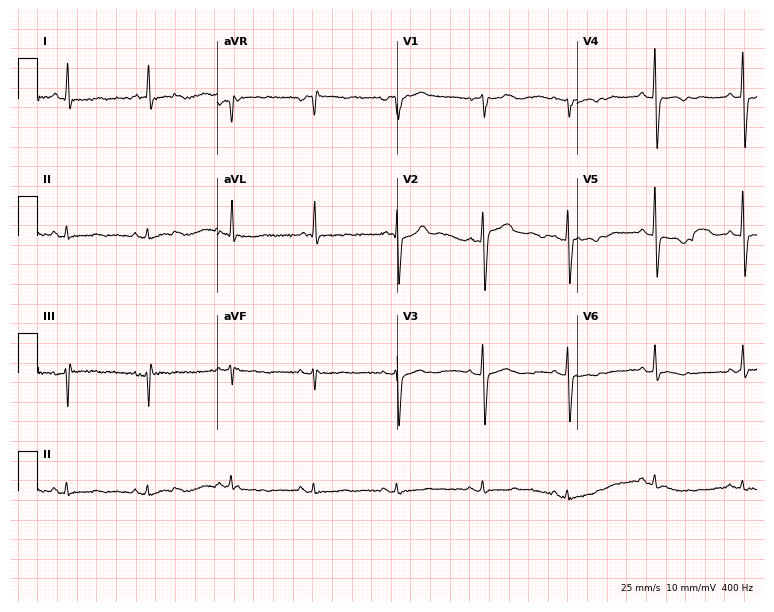
12-lead ECG from a 65-year-old woman (7.3-second recording at 400 Hz). No first-degree AV block, right bundle branch block, left bundle branch block, sinus bradycardia, atrial fibrillation or sinus tachycardia recorded for this tracing. Only these six findings were labelled.